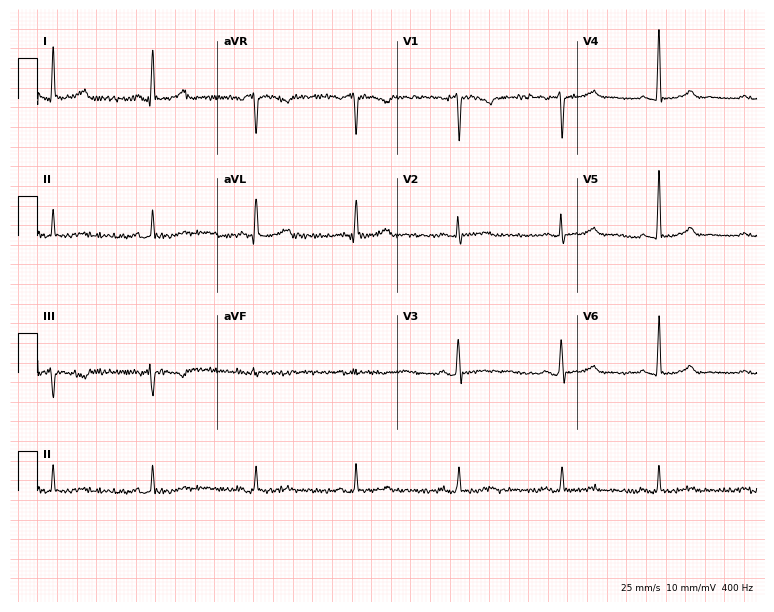
12-lead ECG from a female, 46 years old. No first-degree AV block, right bundle branch block, left bundle branch block, sinus bradycardia, atrial fibrillation or sinus tachycardia recorded for this tracing. Only these six findings were labelled.